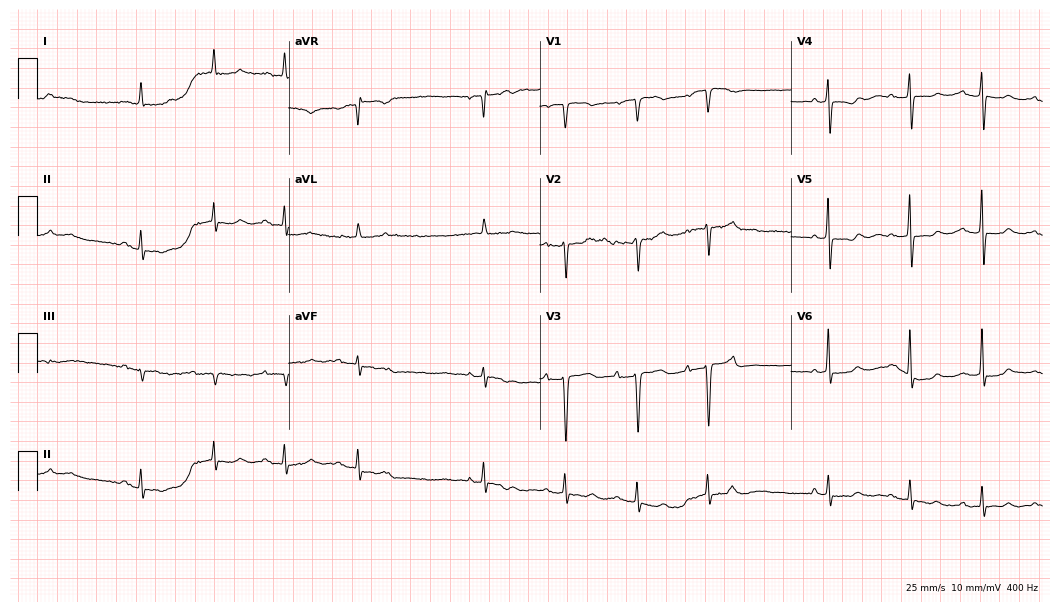
12-lead ECG (10.2-second recording at 400 Hz) from a woman, 85 years old. Screened for six findings — first-degree AV block, right bundle branch block, left bundle branch block, sinus bradycardia, atrial fibrillation, sinus tachycardia — none is recorded. Only these six findings were labelled.